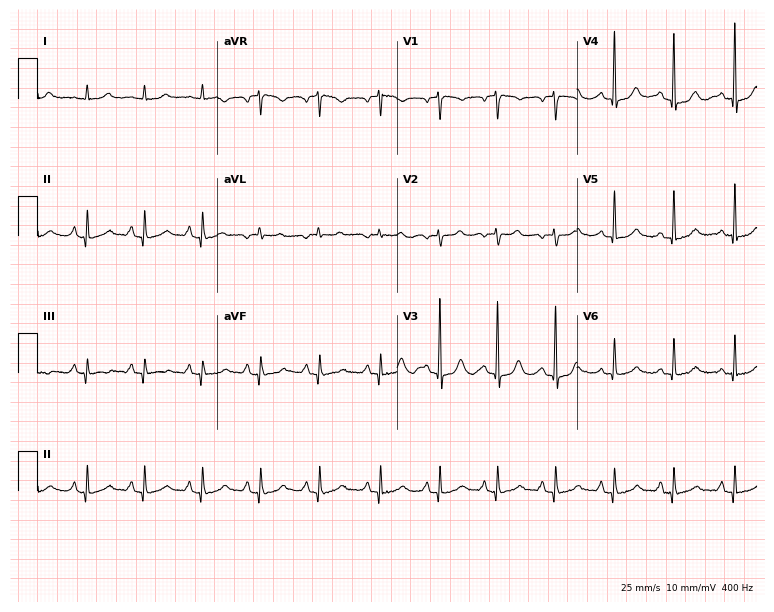
Resting 12-lead electrocardiogram. Patient: a 67-year-old female. The tracing shows sinus tachycardia (a sinus rate of 100 beats per minute or more).